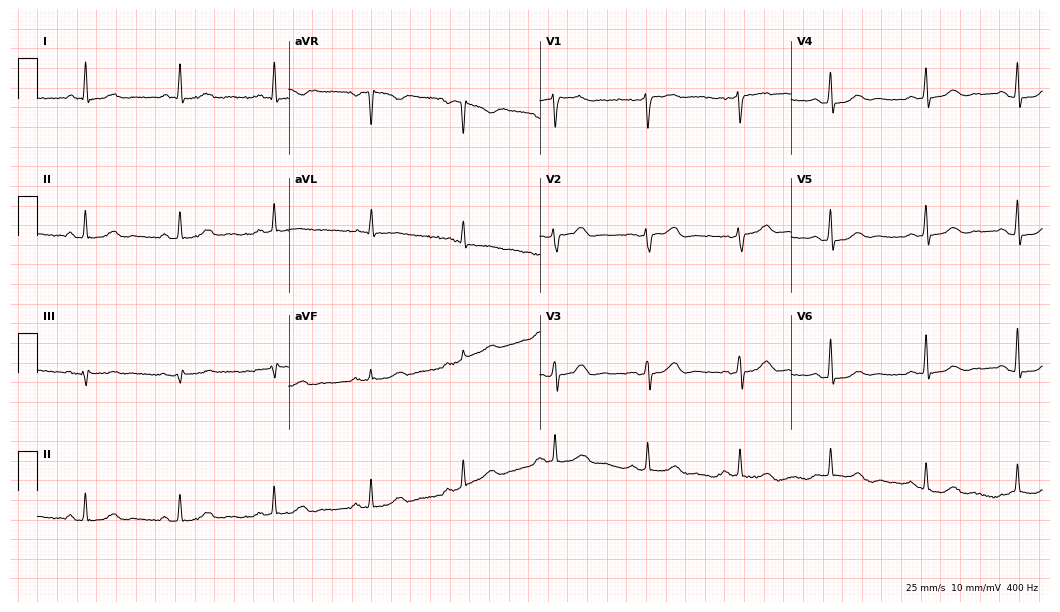
Electrocardiogram, a woman, 53 years old. Of the six screened findings (first-degree AV block, right bundle branch block (RBBB), left bundle branch block (LBBB), sinus bradycardia, atrial fibrillation (AF), sinus tachycardia), none is recorded. Other findings, if any, are not listed.